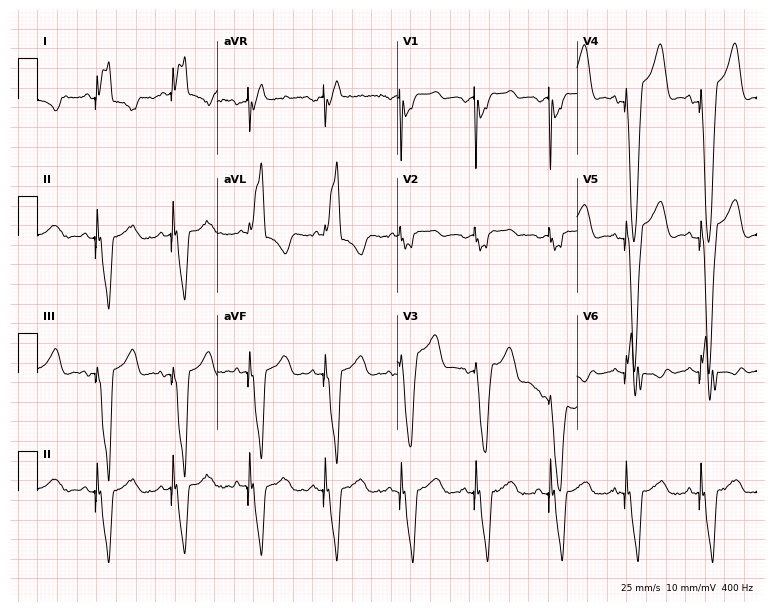
12-lead ECG from a male patient, 76 years old. Screened for six findings — first-degree AV block, right bundle branch block (RBBB), left bundle branch block (LBBB), sinus bradycardia, atrial fibrillation (AF), sinus tachycardia — none is recorded.